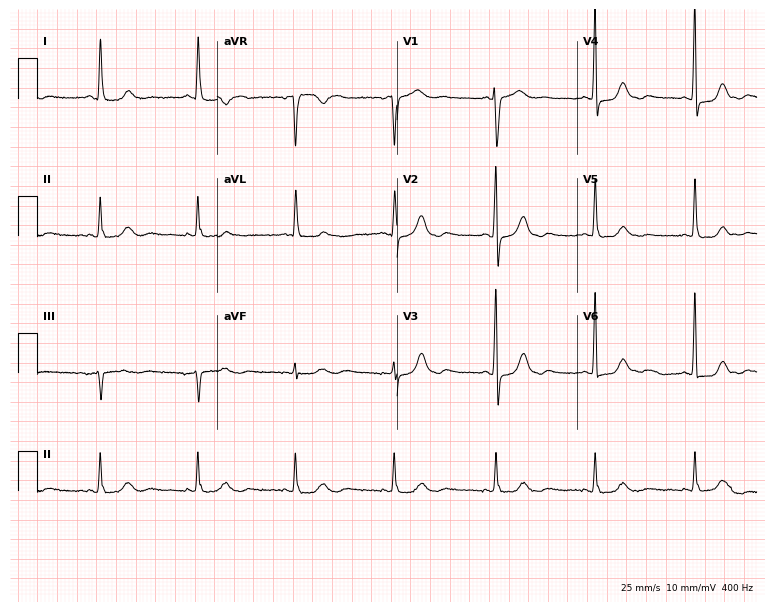
Resting 12-lead electrocardiogram (7.3-second recording at 400 Hz). Patient: a female, 66 years old. None of these six findings is recorded: first-degree AV block, right bundle branch block (RBBB), left bundle branch block (LBBB), sinus bradycardia, atrial fibrillation (AF), sinus tachycardia. Findings outside these six are not listed.